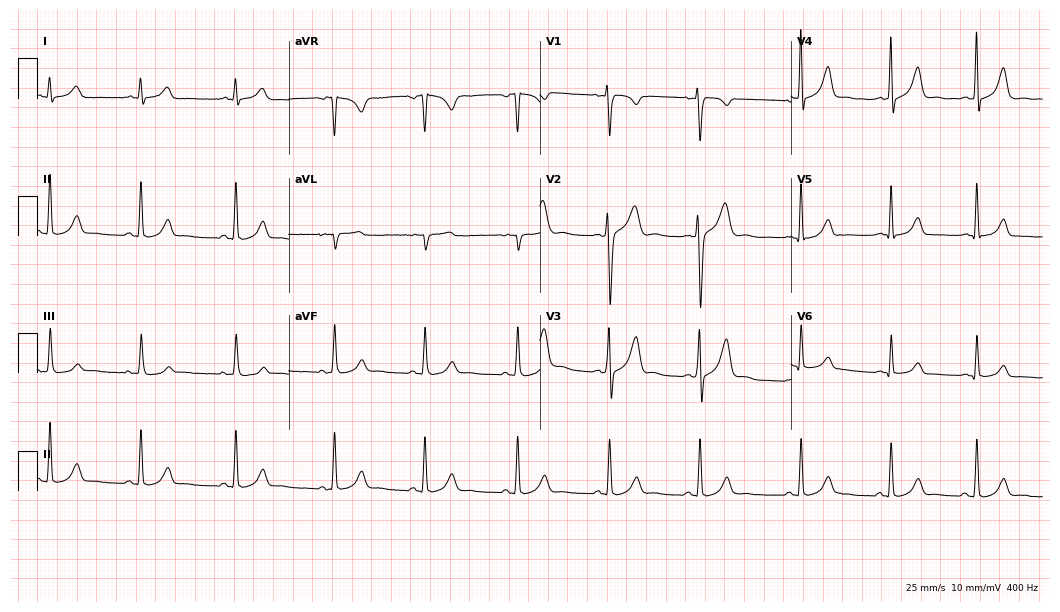
Standard 12-lead ECG recorded from a 27-year-old male patient (10.2-second recording at 400 Hz). Read as a normal ECG.